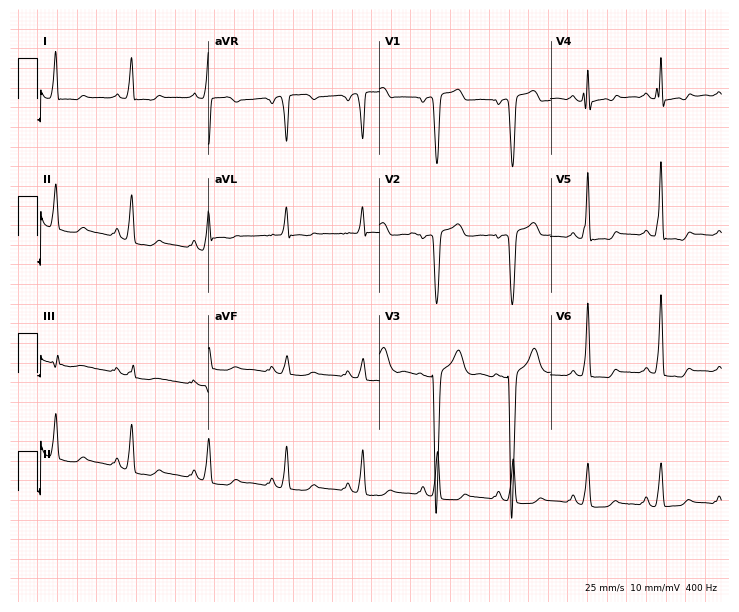
12-lead ECG (7-second recording at 400 Hz) from a female, 57 years old. Screened for six findings — first-degree AV block, right bundle branch block, left bundle branch block, sinus bradycardia, atrial fibrillation, sinus tachycardia — none is recorded.